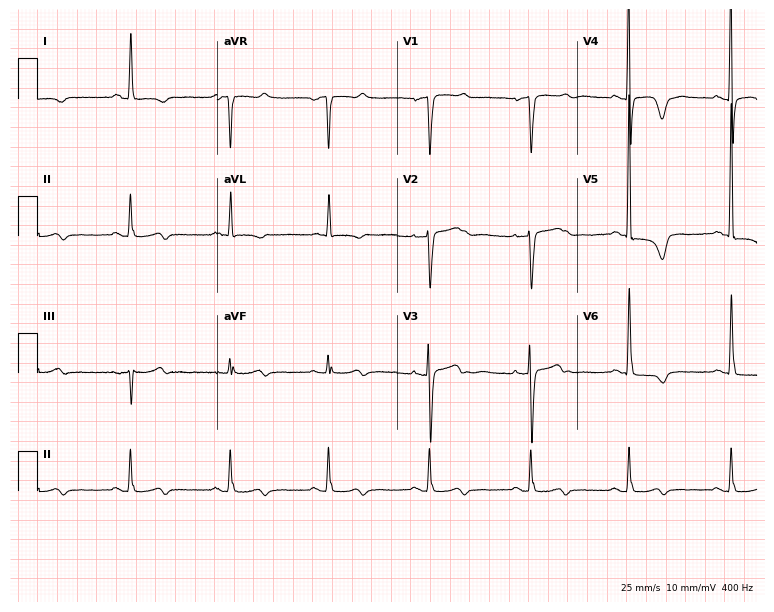
Resting 12-lead electrocardiogram (7.3-second recording at 400 Hz). Patient: a 63-year-old female. None of these six findings is recorded: first-degree AV block, right bundle branch block, left bundle branch block, sinus bradycardia, atrial fibrillation, sinus tachycardia. Other findings, if any, are not listed.